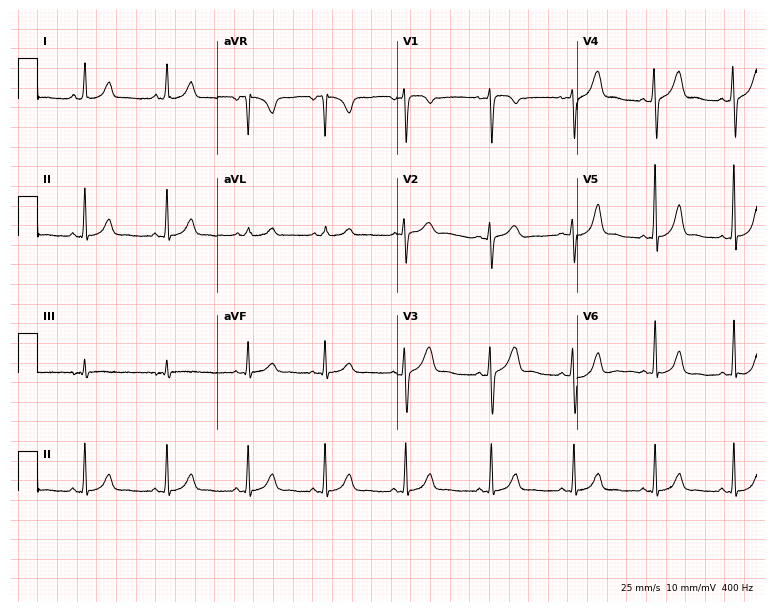
ECG (7.3-second recording at 400 Hz) — a female, 28 years old. Screened for six findings — first-degree AV block, right bundle branch block, left bundle branch block, sinus bradycardia, atrial fibrillation, sinus tachycardia — none is recorded.